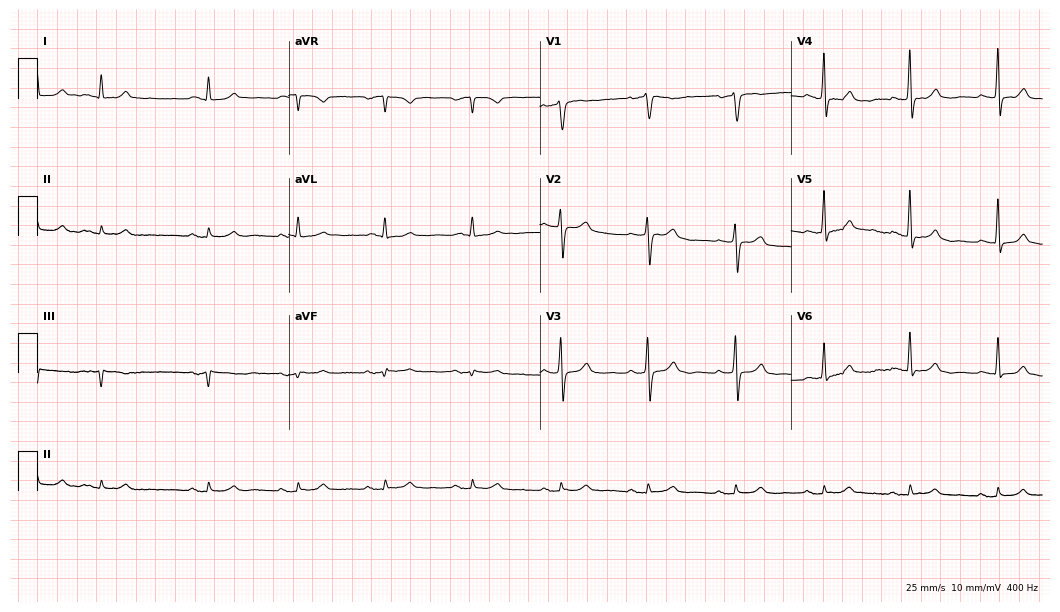
12-lead ECG (10.2-second recording at 400 Hz) from a 79-year-old male. Screened for six findings — first-degree AV block, right bundle branch block, left bundle branch block, sinus bradycardia, atrial fibrillation, sinus tachycardia — none is recorded.